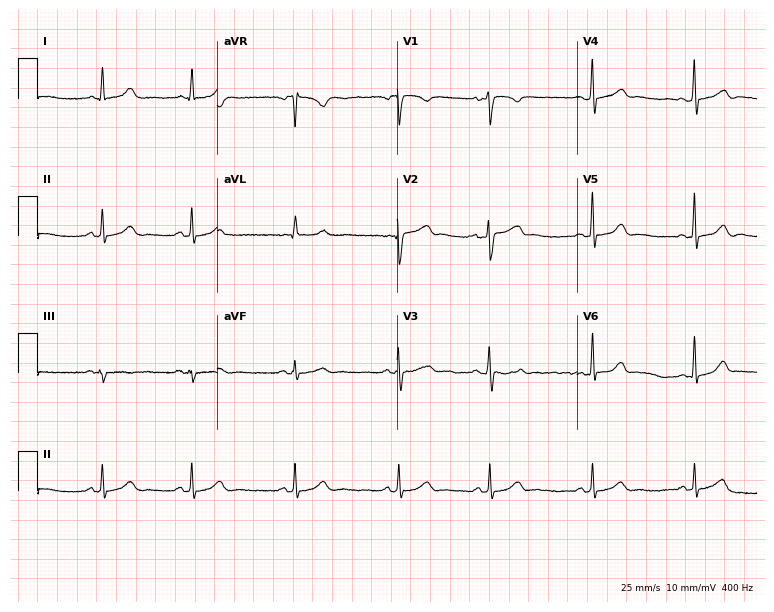
Resting 12-lead electrocardiogram. Patient: a 20-year-old woman. Read as a normal ECG.